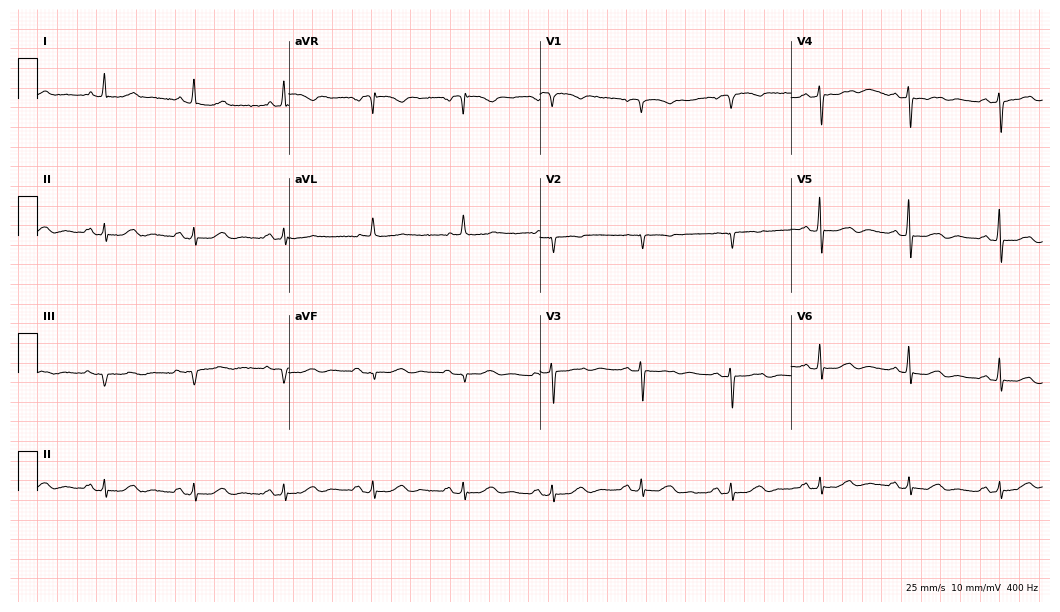
12-lead ECG from an 82-year-old woman. No first-degree AV block, right bundle branch block, left bundle branch block, sinus bradycardia, atrial fibrillation or sinus tachycardia recorded for this tracing. Findings outside these six are not listed.